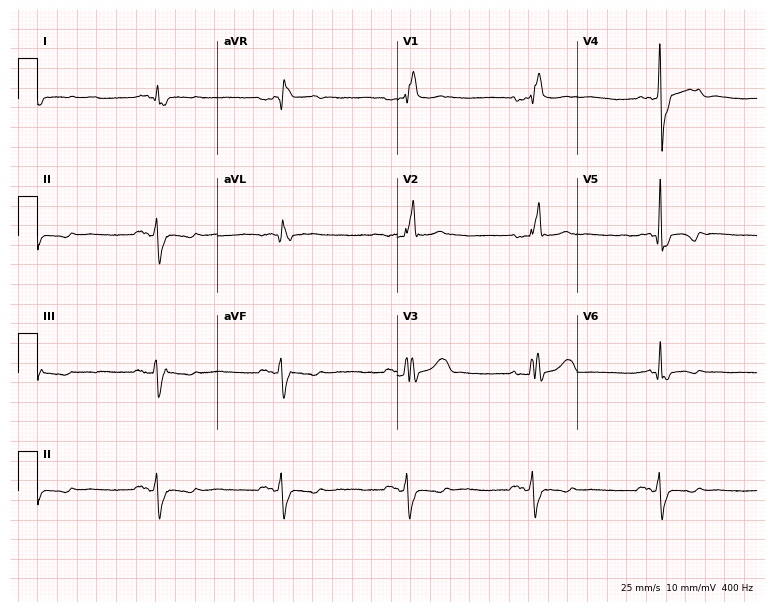
Resting 12-lead electrocardiogram (7.3-second recording at 400 Hz). Patient: a male, 72 years old. The tracing shows right bundle branch block, sinus bradycardia (a sinus rate of 50 beats per minute or less).